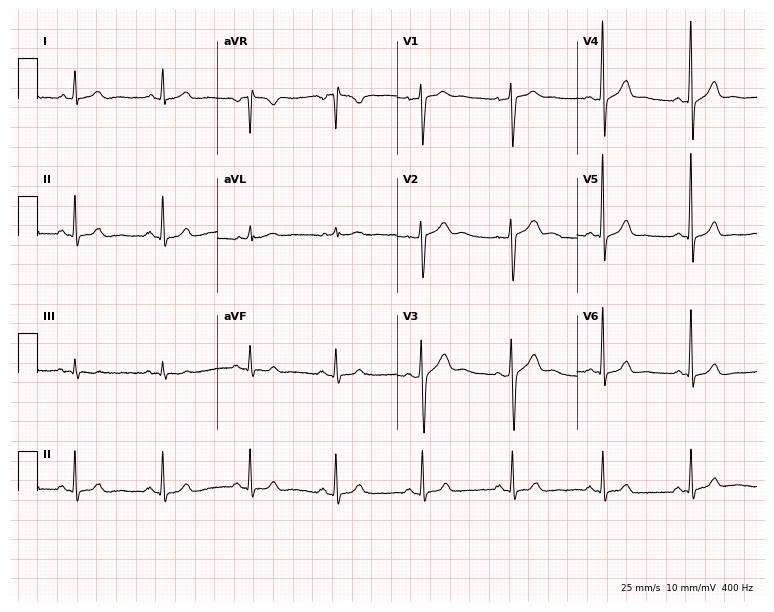
Standard 12-lead ECG recorded from a 41-year-old male. Read as a normal ECG.